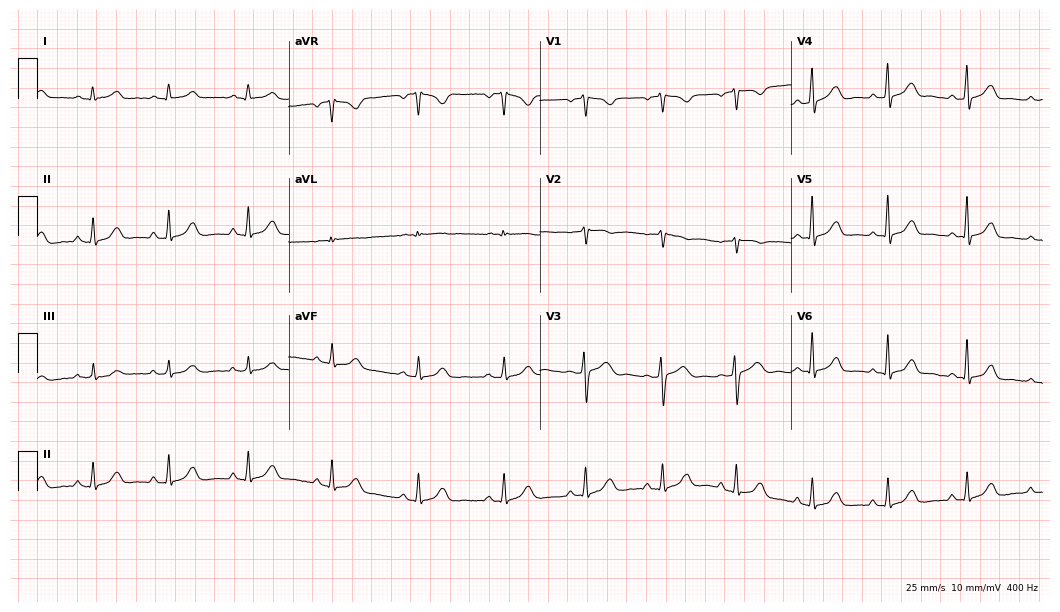
12-lead ECG (10.2-second recording at 400 Hz) from a 47-year-old female. Labelled as a normal ECG.